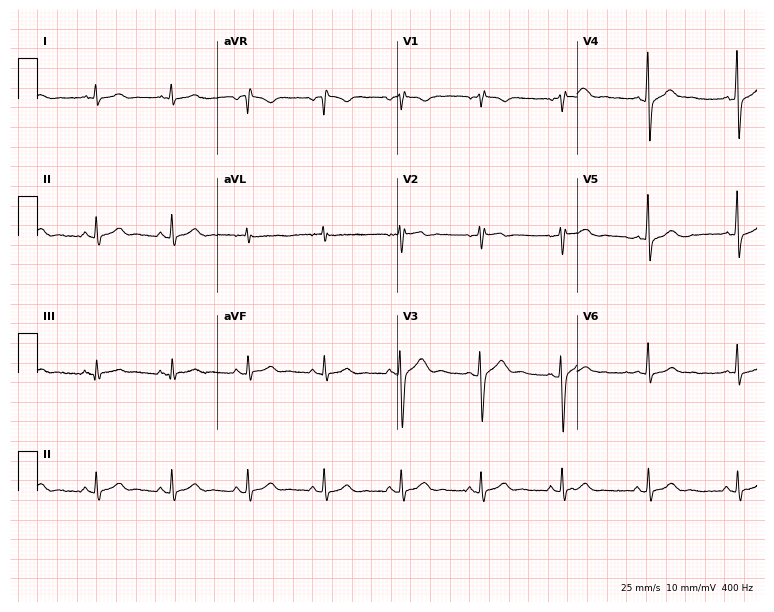
12-lead ECG from a 34-year-old man (7.3-second recording at 400 Hz). Recorded interpretation: within normal limits.